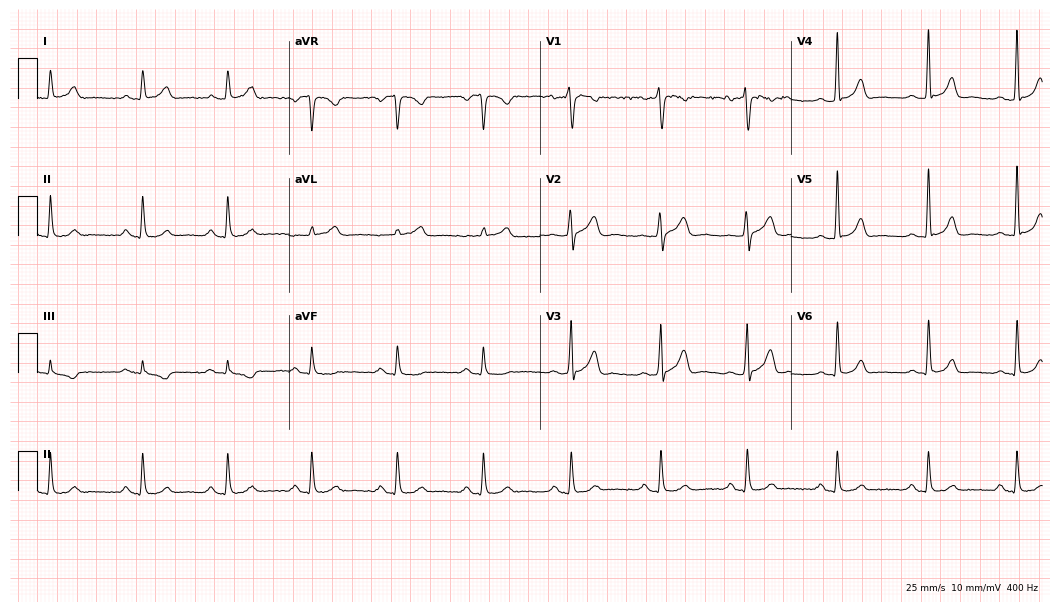
Resting 12-lead electrocardiogram (10.2-second recording at 400 Hz). Patient: a 66-year-old man. Read as a normal ECG.